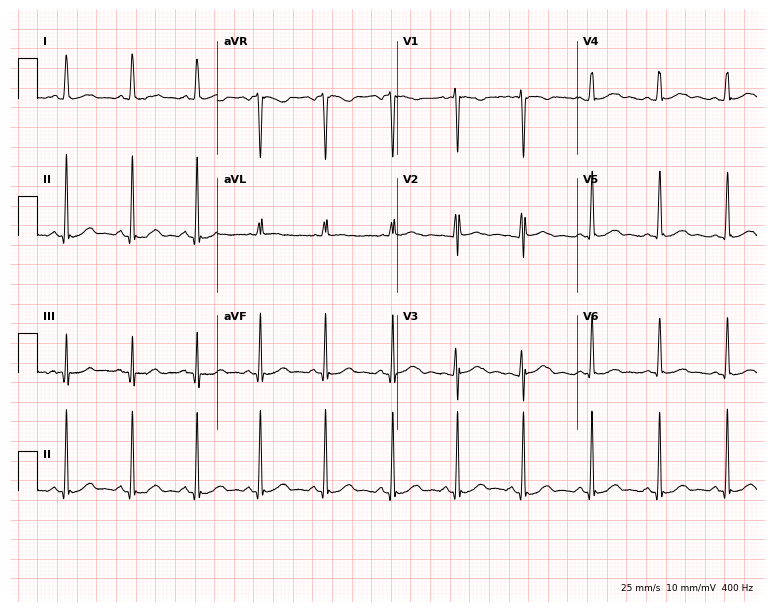
12-lead ECG from a 19-year-old woman. Labelled as a normal ECG.